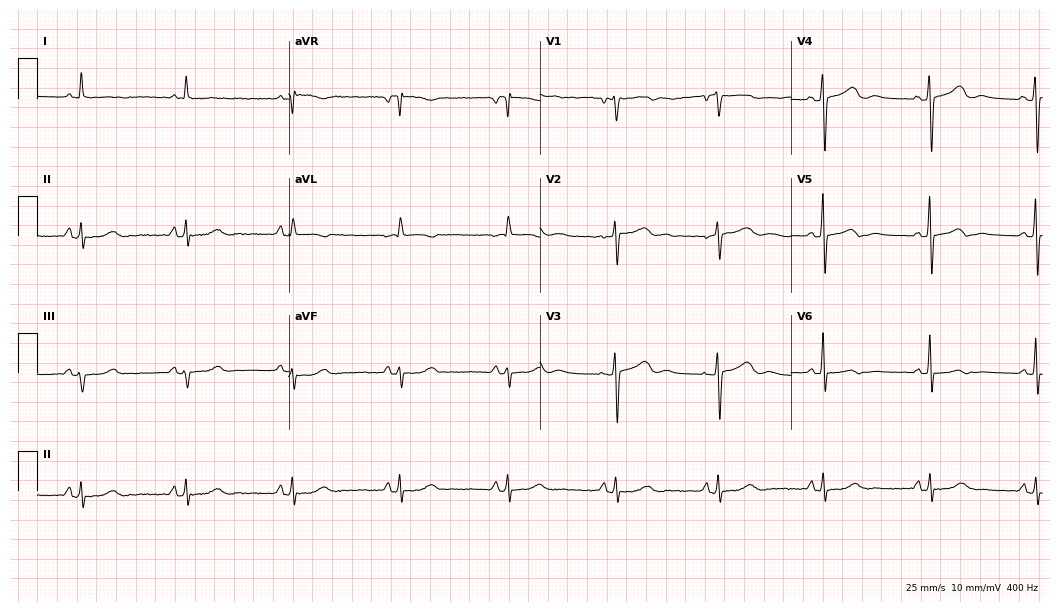
ECG (10.2-second recording at 400 Hz) — a 78-year-old woman. Screened for six findings — first-degree AV block, right bundle branch block, left bundle branch block, sinus bradycardia, atrial fibrillation, sinus tachycardia — none is recorded.